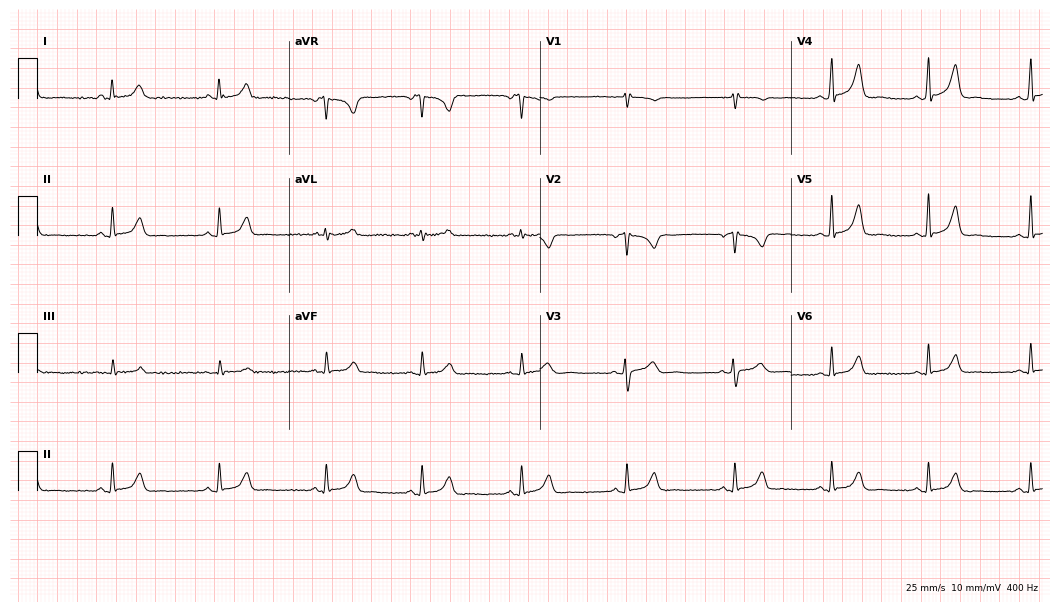
Electrocardiogram (10.2-second recording at 400 Hz), a female patient, 41 years old. Of the six screened findings (first-degree AV block, right bundle branch block (RBBB), left bundle branch block (LBBB), sinus bradycardia, atrial fibrillation (AF), sinus tachycardia), none is recorded.